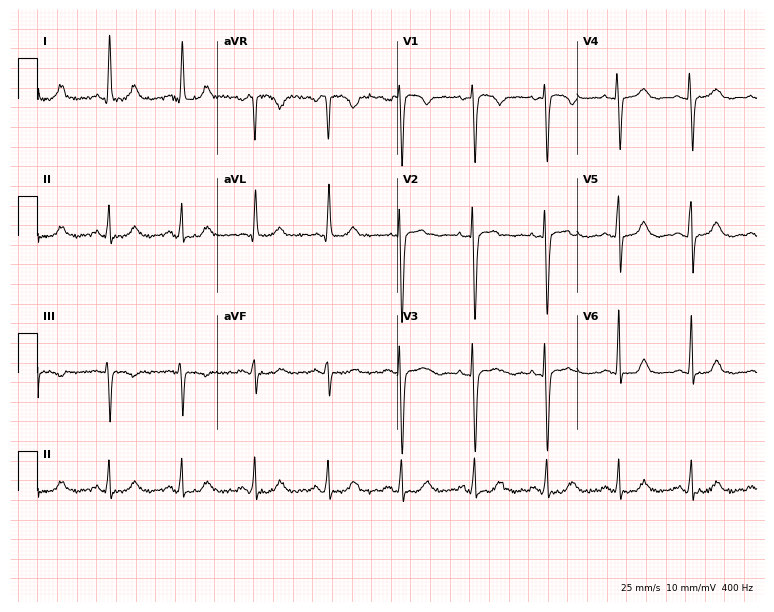
Standard 12-lead ECG recorded from a 60-year-old female. Read as a normal ECG.